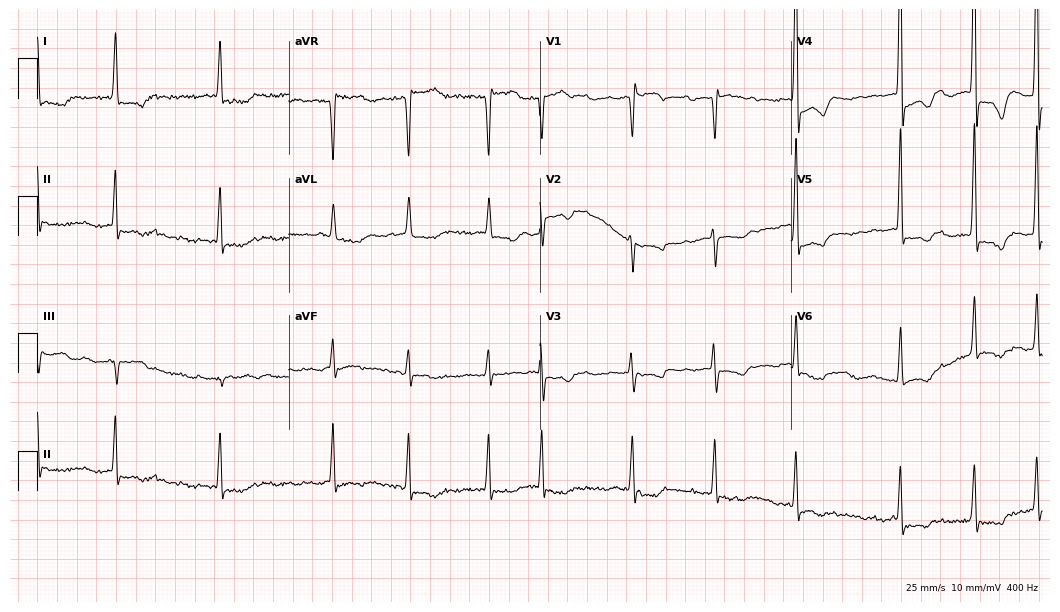
12-lead ECG from an 81-year-old woman (10.2-second recording at 400 Hz). Shows atrial fibrillation.